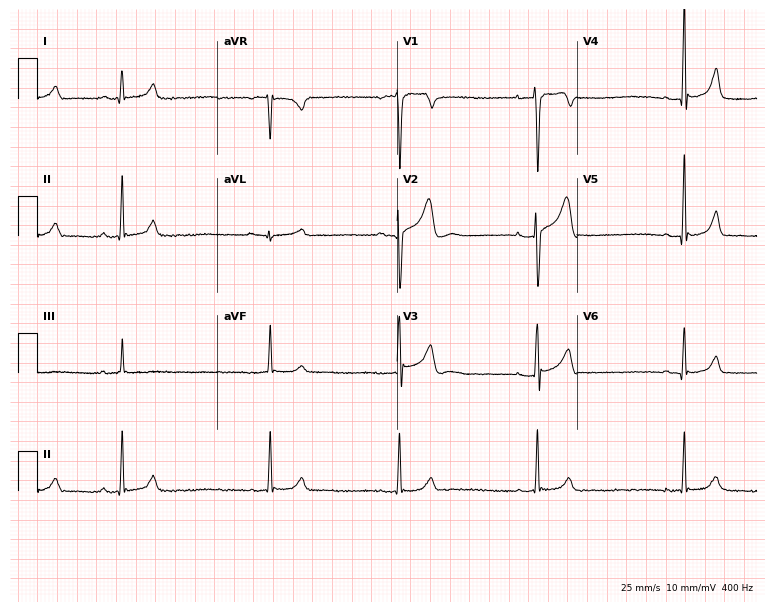
Standard 12-lead ECG recorded from a male, 24 years old (7.3-second recording at 400 Hz). None of these six findings is recorded: first-degree AV block, right bundle branch block (RBBB), left bundle branch block (LBBB), sinus bradycardia, atrial fibrillation (AF), sinus tachycardia. Only these six findings were labelled.